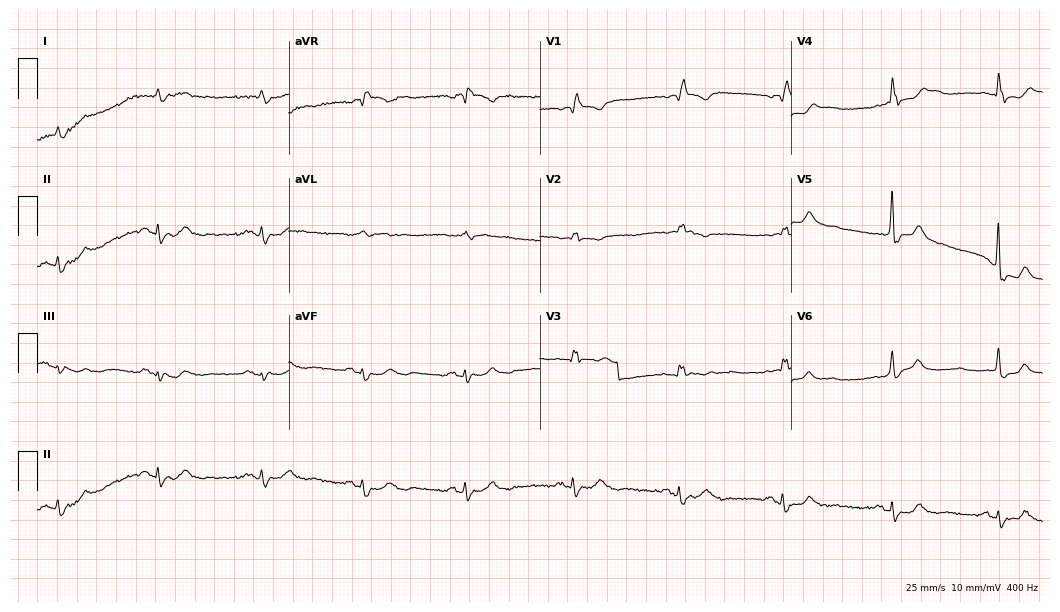
12-lead ECG from a male, 83 years old. Screened for six findings — first-degree AV block, right bundle branch block, left bundle branch block, sinus bradycardia, atrial fibrillation, sinus tachycardia — none is recorded. Other findings, if any, are not listed.